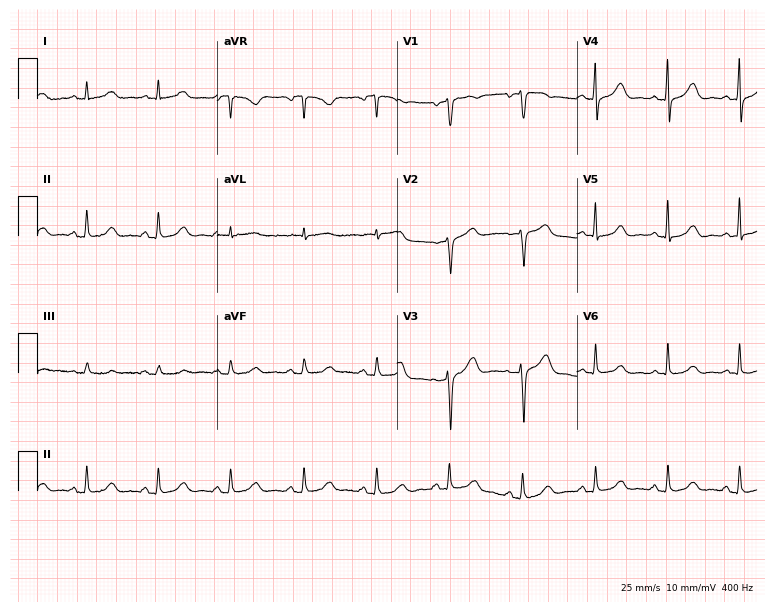
Electrocardiogram (7.3-second recording at 400 Hz), a female patient, 60 years old. Overall reading on record: normal ECG.